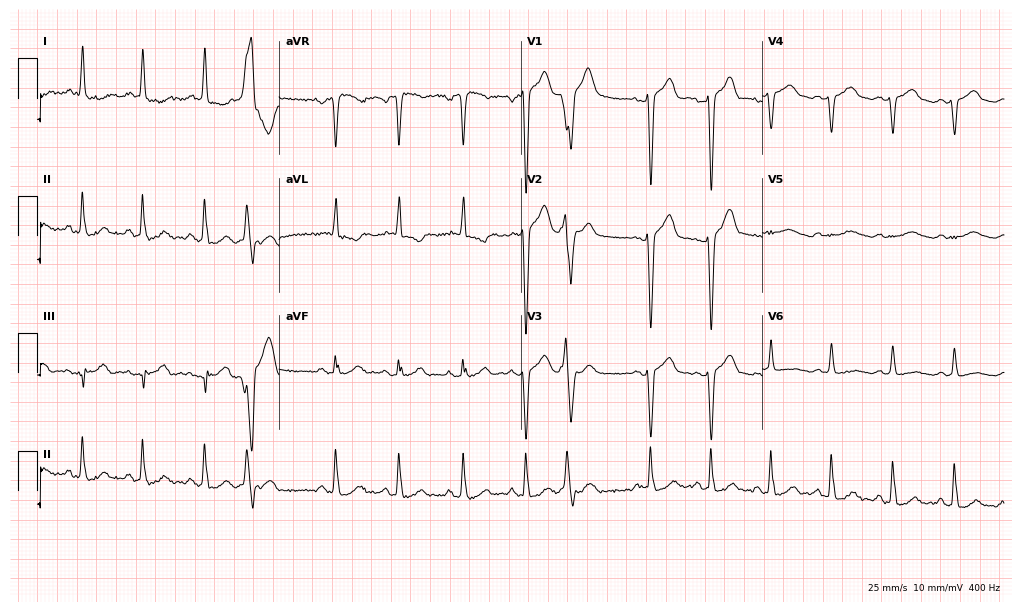
12-lead ECG (9.9-second recording at 400 Hz) from a 49-year-old man. Screened for six findings — first-degree AV block, right bundle branch block, left bundle branch block, sinus bradycardia, atrial fibrillation, sinus tachycardia — none is recorded.